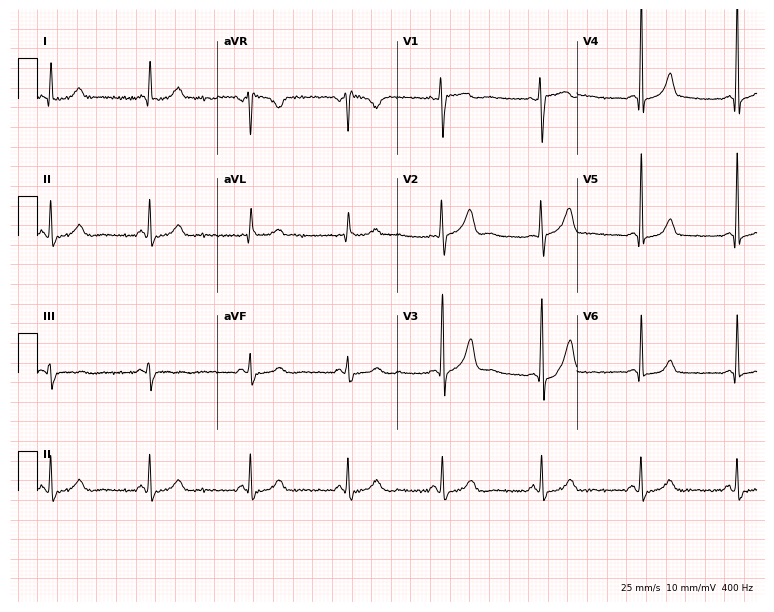
12-lead ECG (7.3-second recording at 400 Hz) from a 37-year-old woman. Screened for six findings — first-degree AV block, right bundle branch block, left bundle branch block, sinus bradycardia, atrial fibrillation, sinus tachycardia — none is recorded. Other findings, if any, are not listed.